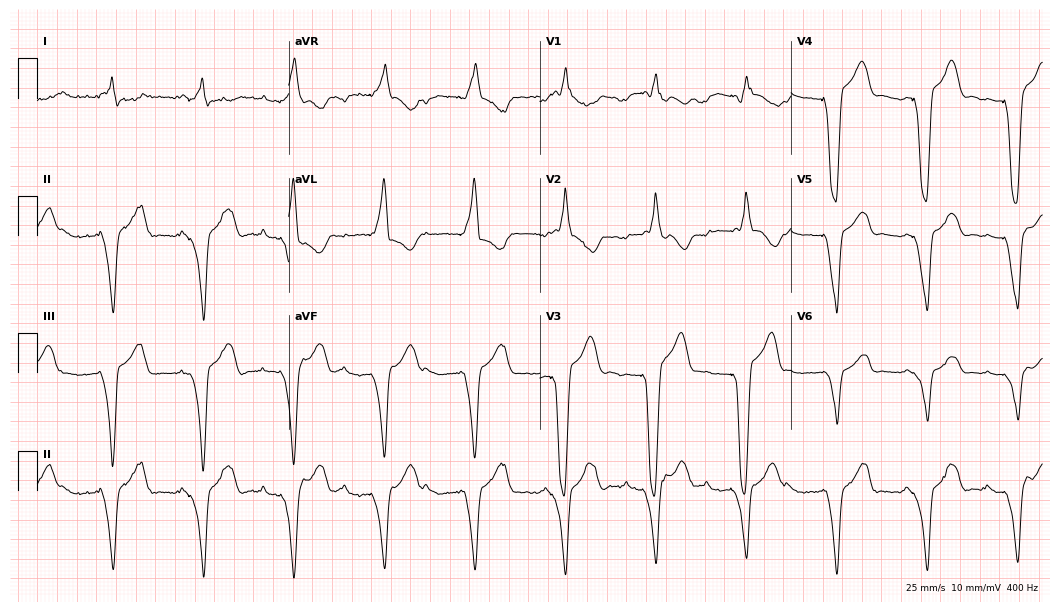
Resting 12-lead electrocardiogram. Patient: a 26-year-old male. None of these six findings is recorded: first-degree AV block, right bundle branch block, left bundle branch block, sinus bradycardia, atrial fibrillation, sinus tachycardia. Only these six findings were labelled.